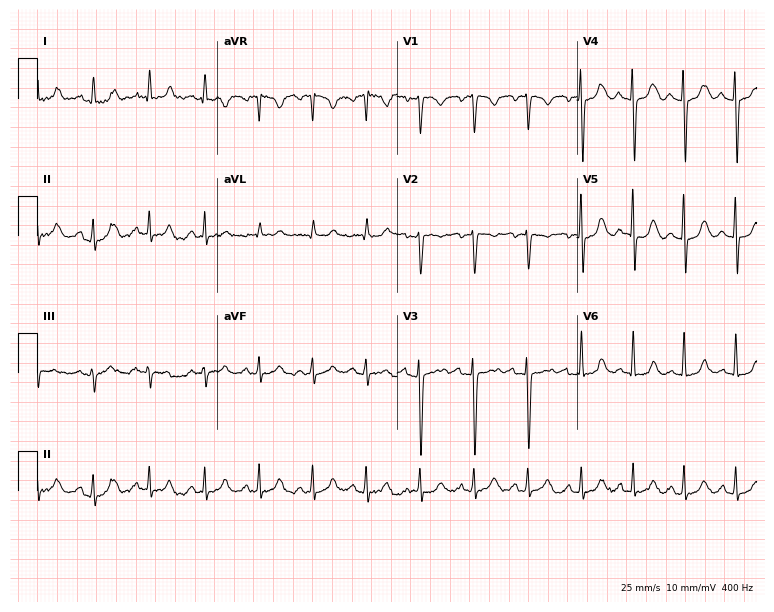
12-lead ECG from a 51-year-old female (7.3-second recording at 400 Hz). Shows sinus tachycardia (a sinus rate of 100 beats per minute or more).